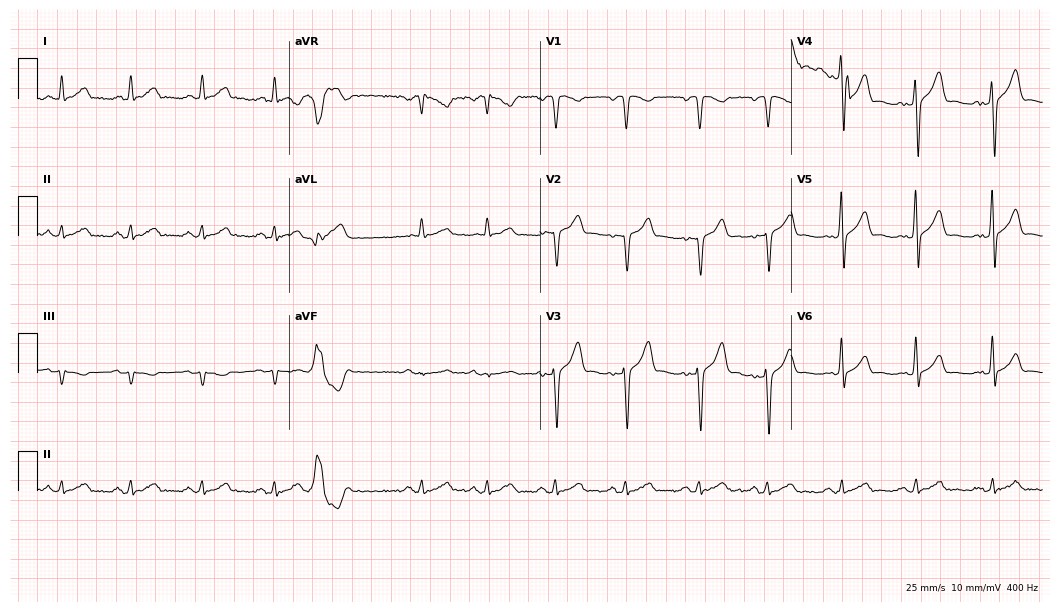
Standard 12-lead ECG recorded from a 47-year-old man (10.2-second recording at 400 Hz). None of these six findings is recorded: first-degree AV block, right bundle branch block (RBBB), left bundle branch block (LBBB), sinus bradycardia, atrial fibrillation (AF), sinus tachycardia.